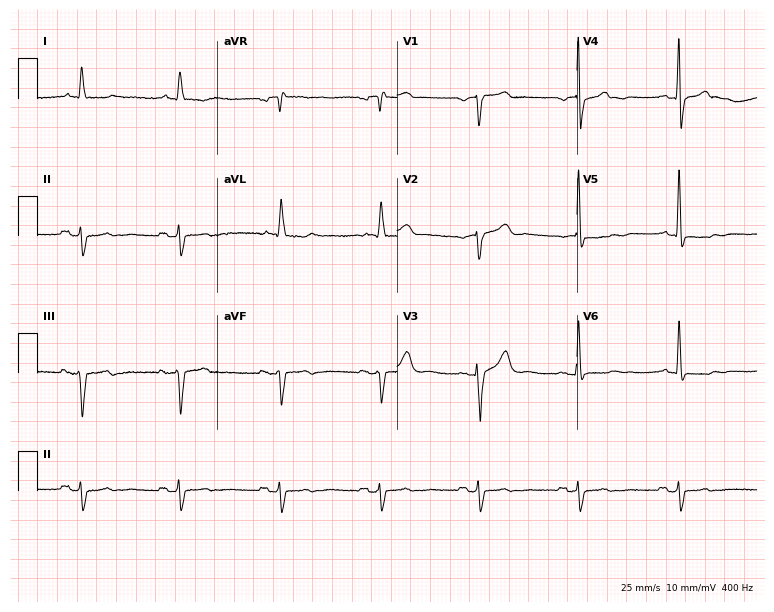
Resting 12-lead electrocardiogram. Patient: a man, 75 years old. None of these six findings is recorded: first-degree AV block, right bundle branch block, left bundle branch block, sinus bradycardia, atrial fibrillation, sinus tachycardia. Other findings, if any, are not listed.